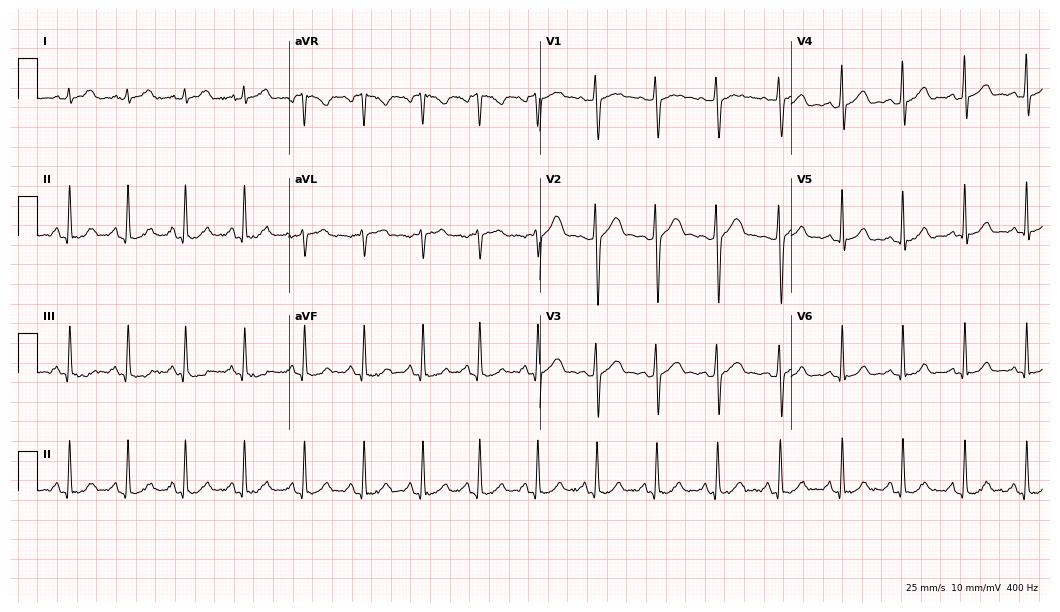
Resting 12-lead electrocardiogram. Patient: a 34-year-old male. Read as a normal ECG.